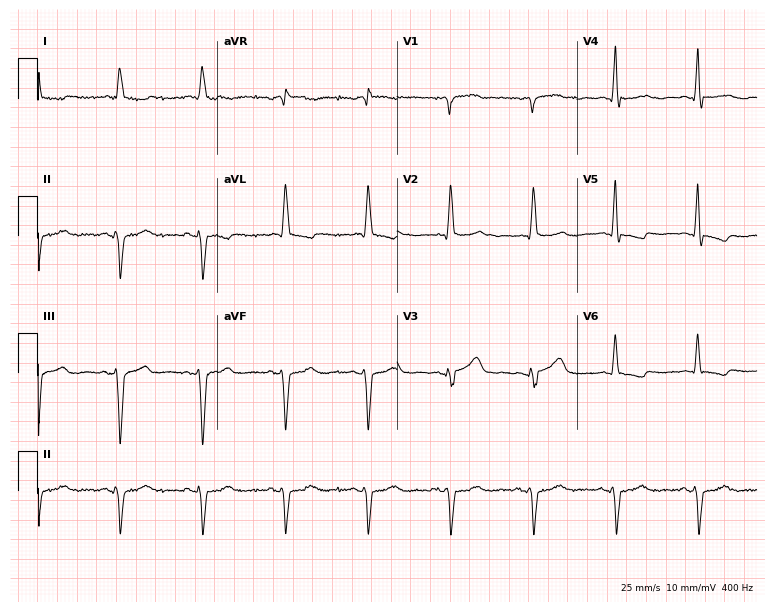
Resting 12-lead electrocardiogram (7.3-second recording at 400 Hz). Patient: a male, 86 years old. None of these six findings is recorded: first-degree AV block, right bundle branch block (RBBB), left bundle branch block (LBBB), sinus bradycardia, atrial fibrillation (AF), sinus tachycardia.